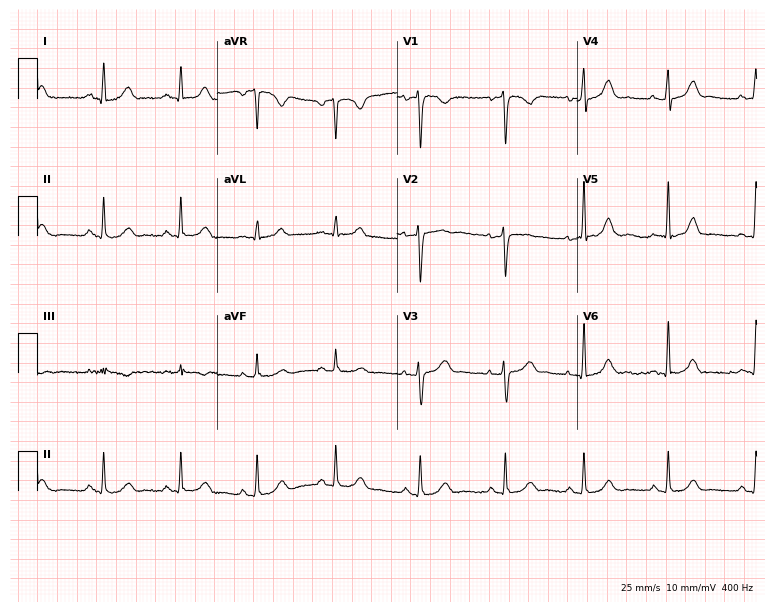
Standard 12-lead ECG recorded from a woman, 33 years old. Read as a normal ECG.